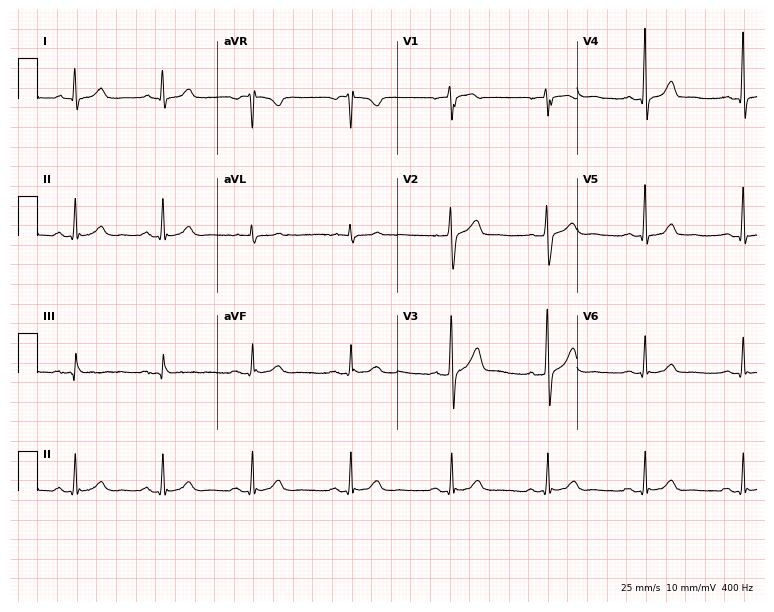
Resting 12-lead electrocardiogram. Patient: a 48-year-old male. Read as a normal ECG.